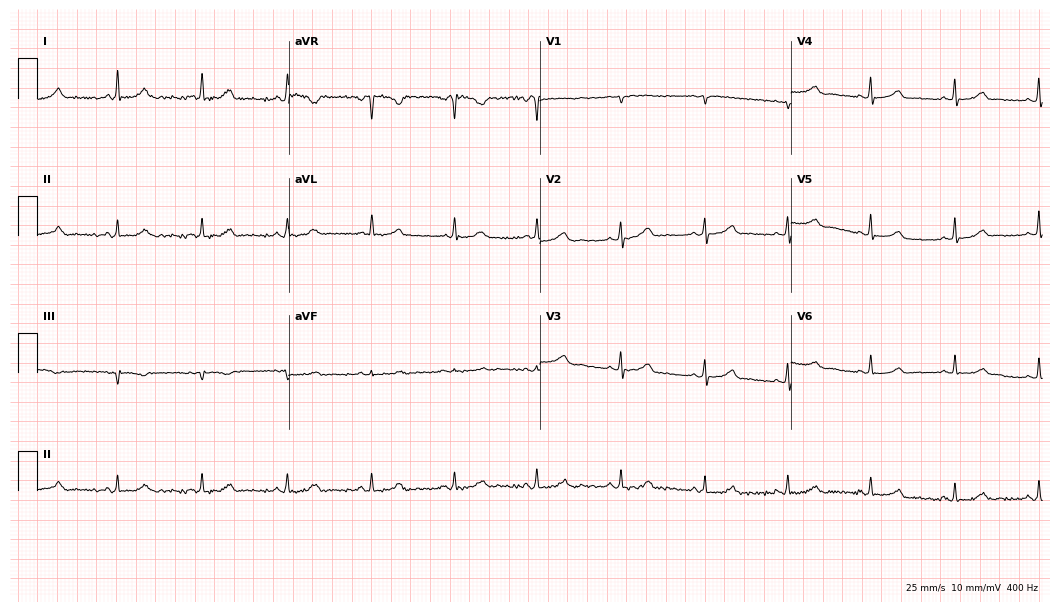
12-lead ECG from a 53-year-old woman (10.2-second recording at 400 Hz). No first-degree AV block, right bundle branch block, left bundle branch block, sinus bradycardia, atrial fibrillation or sinus tachycardia recorded for this tracing. Findings outside these six are not listed.